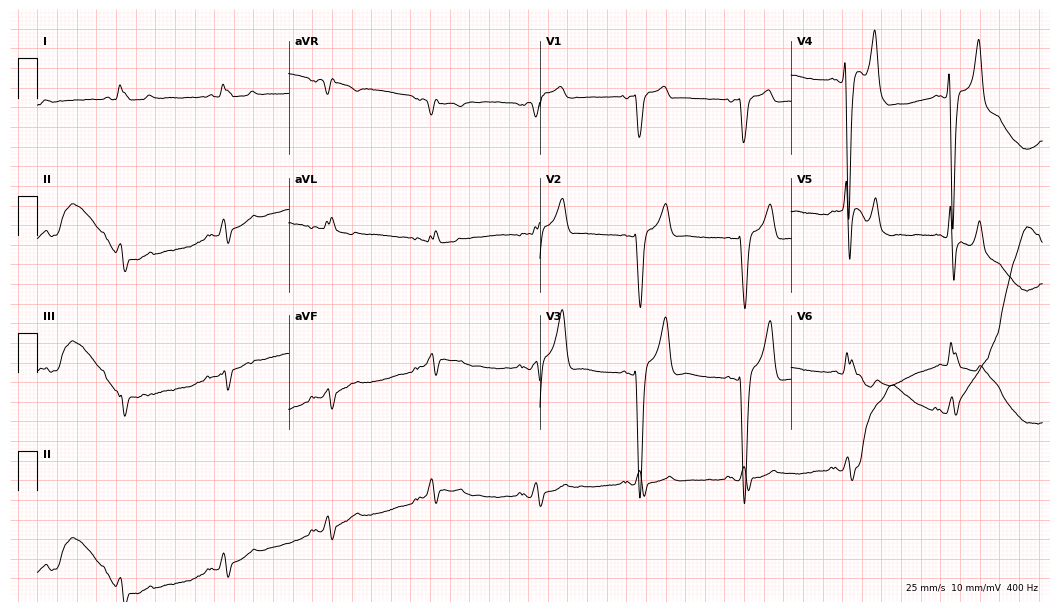
12-lead ECG from an 85-year-old female patient. Shows left bundle branch block (LBBB).